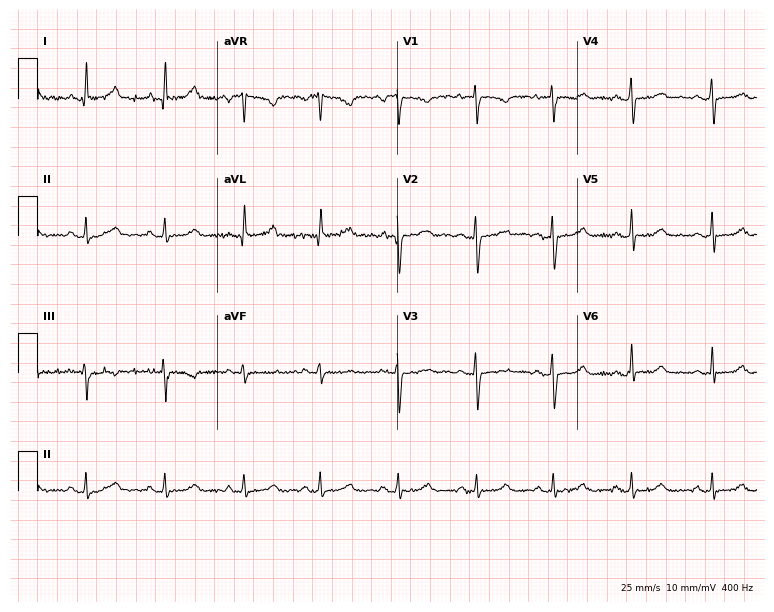
Standard 12-lead ECG recorded from a woman, 38 years old. Read as a normal ECG.